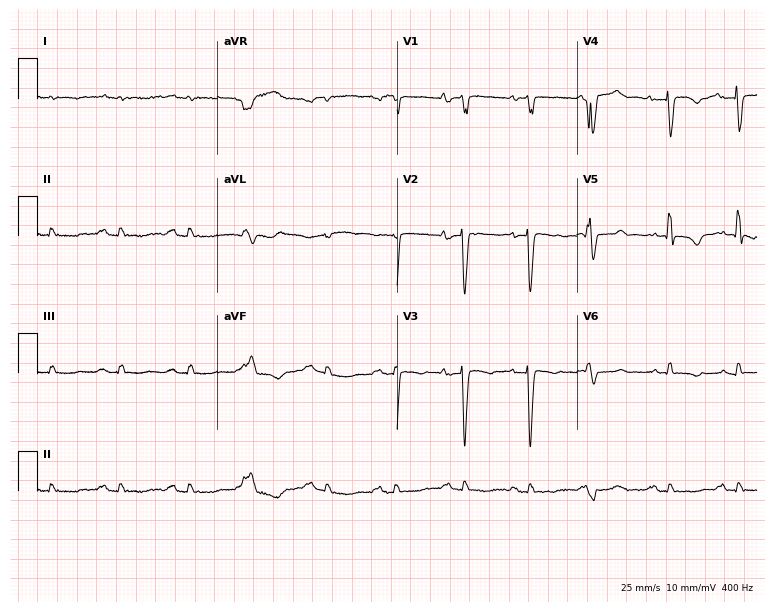
Electrocardiogram, a 64-year-old man. Of the six screened findings (first-degree AV block, right bundle branch block (RBBB), left bundle branch block (LBBB), sinus bradycardia, atrial fibrillation (AF), sinus tachycardia), none is recorded.